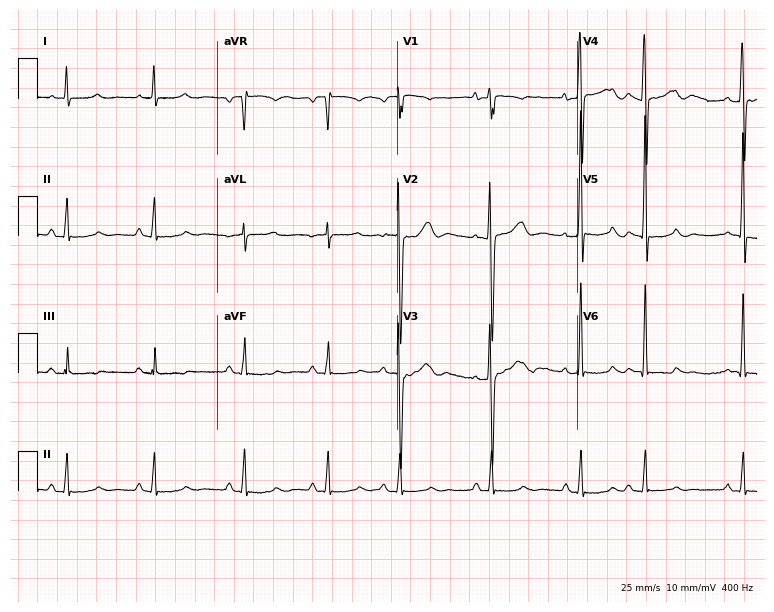
12-lead ECG (7.3-second recording at 400 Hz) from a woman, 75 years old. Labelled as a normal ECG.